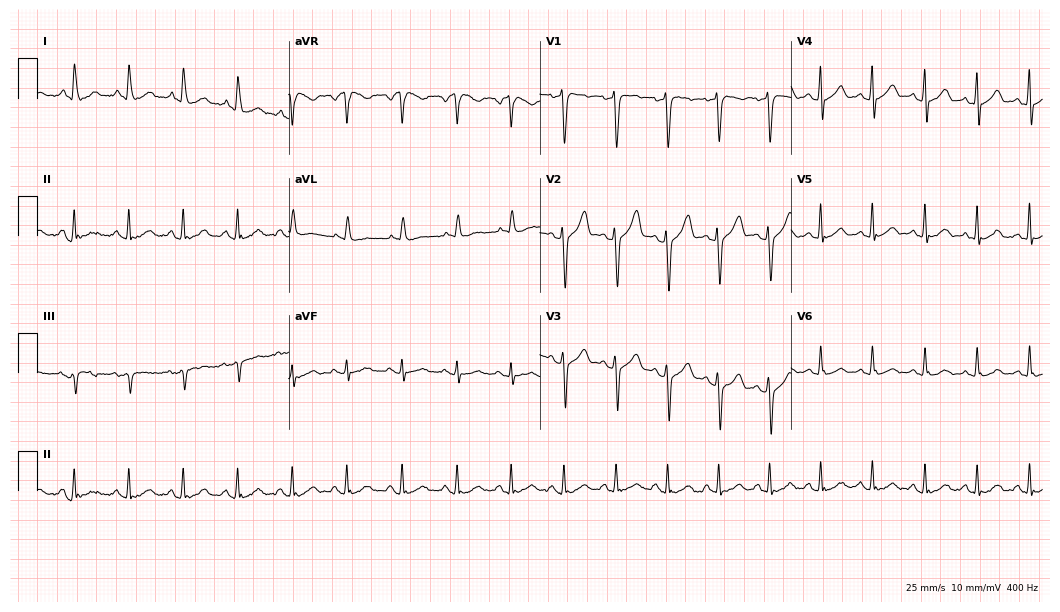
Standard 12-lead ECG recorded from a male patient, 46 years old (10.2-second recording at 400 Hz). The tracing shows sinus tachycardia (a sinus rate of 100 beats per minute or more).